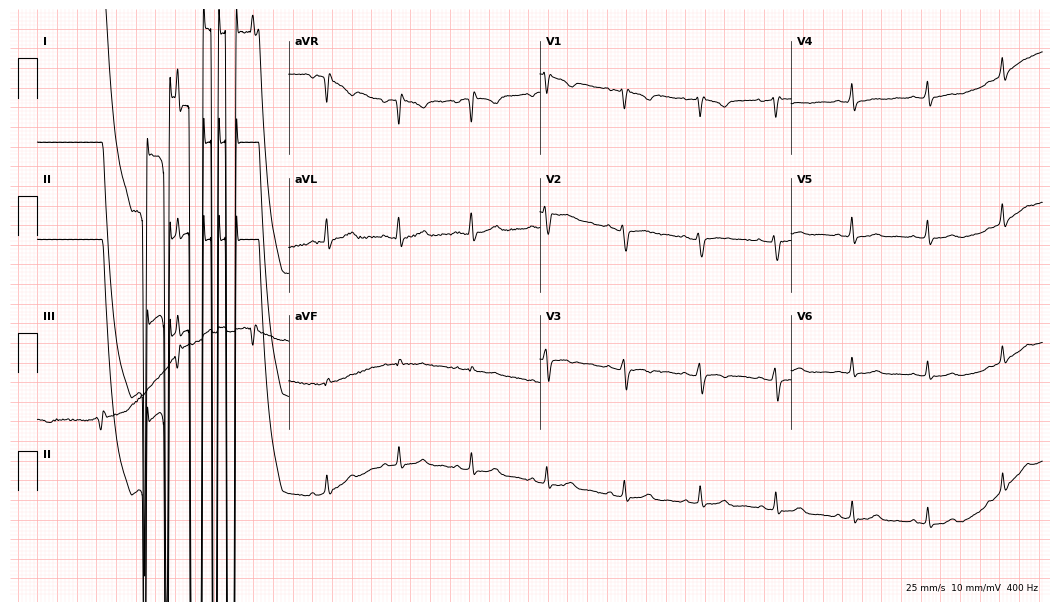
Standard 12-lead ECG recorded from a 38-year-old woman. None of these six findings is recorded: first-degree AV block, right bundle branch block, left bundle branch block, sinus bradycardia, atrial fibrillation, sinus tachycardia.